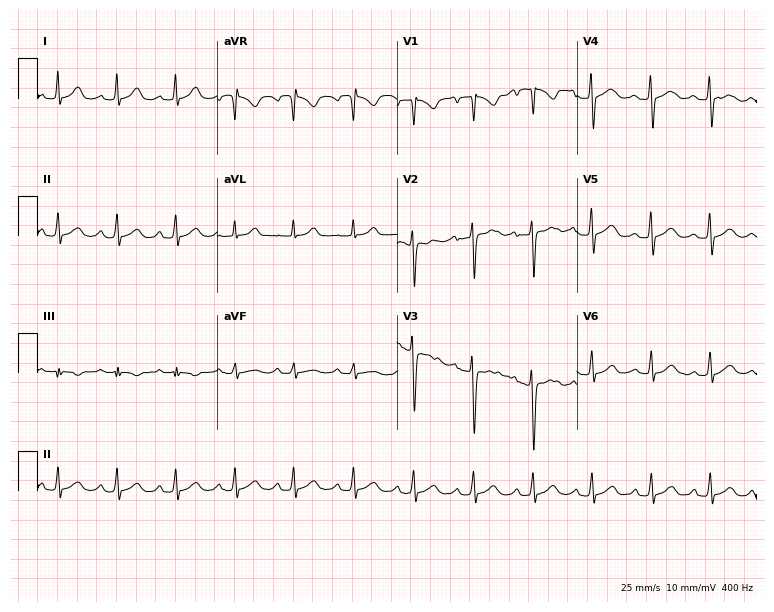
Electrocardiogram (7.3-second recording at 400 Hz), a female patient, 30 years old. Of the six screened findings (first-degree AV block, right bundle branch block (RBBB), left bundle branch block (LBBB), sinus bradycardia, atrial fibrillation (AF), sinus tachycardia), none is recorded.